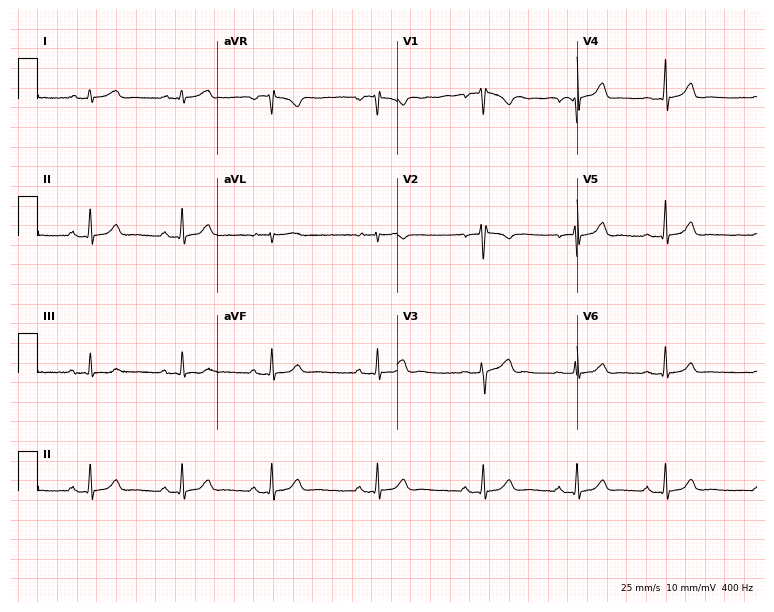
Resting 12-lead electrocardiogram. Patient: a 33-year-old woman. Read as a normal ECG.